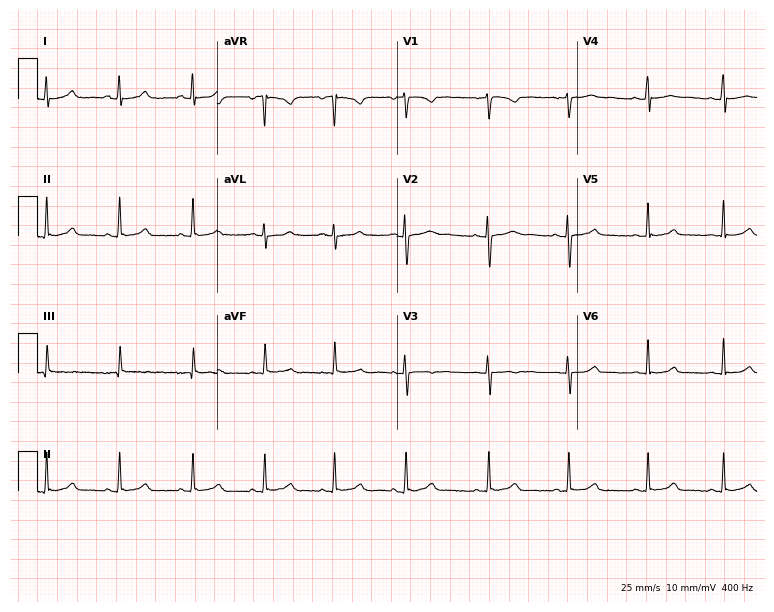
Electrocardiogram (7.3-second recording at 400 Hz), an 18-year-old female patient. Overall reading on record: normal ECG.